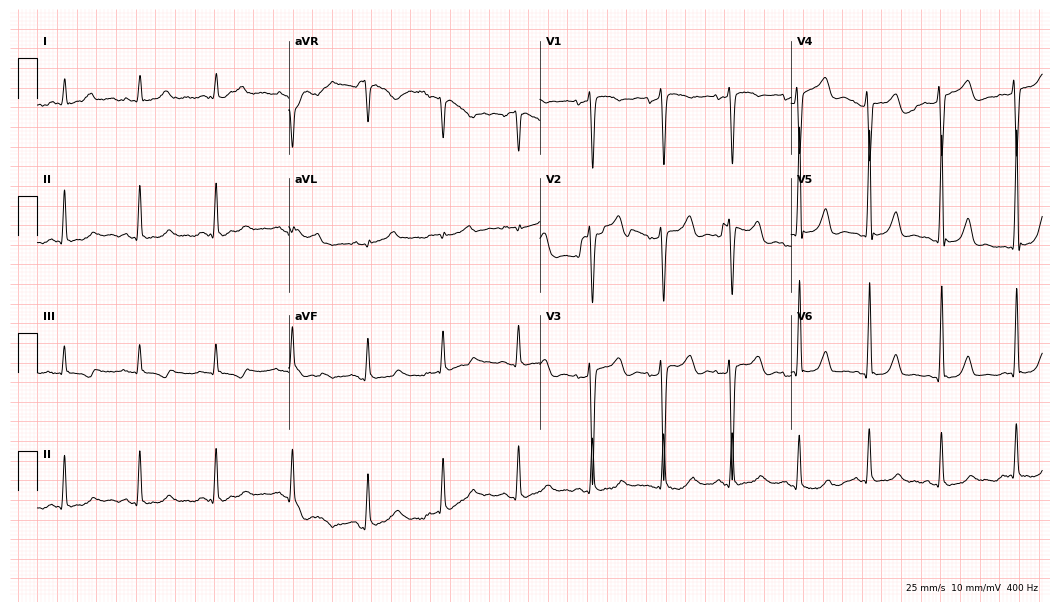
12-lead ECG from a male, 48 years old. Labelled as a normal ECG.